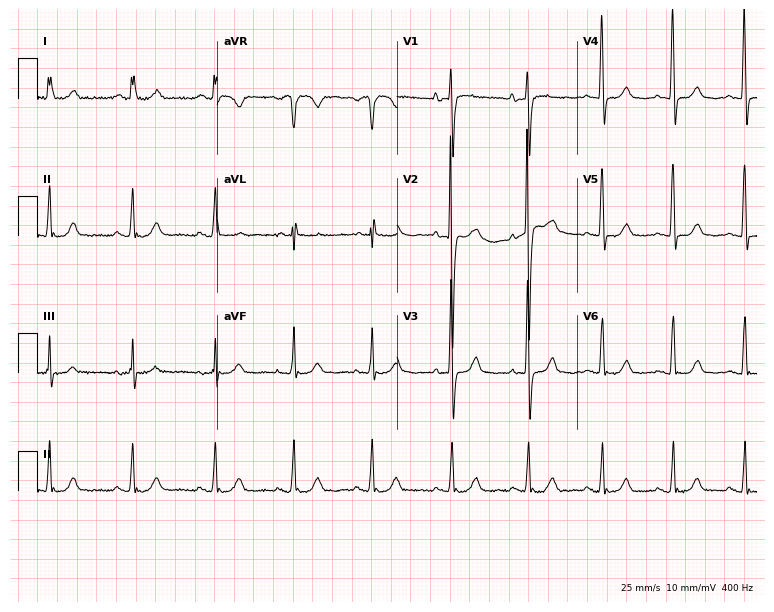
Resting 12-lead electrocardiogram. Patient: a female, 40 years old. Read as a normal ECG.